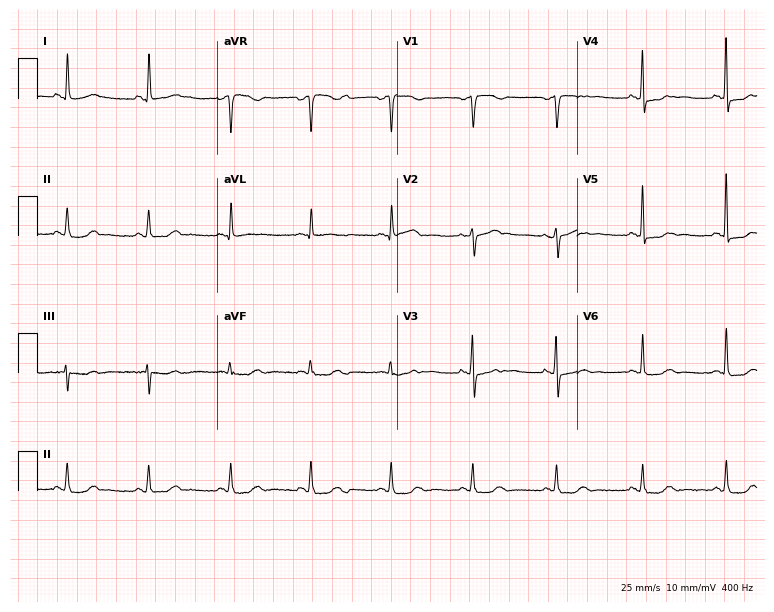
ECG (7.3-second recording at 400 Hz) — a 62-year-old female patient. Screened for six findings — first-degree AV block, right bundle branch block, left bundle branch block, sinus bradycardia, atrial fibrillation, sinus tachycardia — none is recorded.